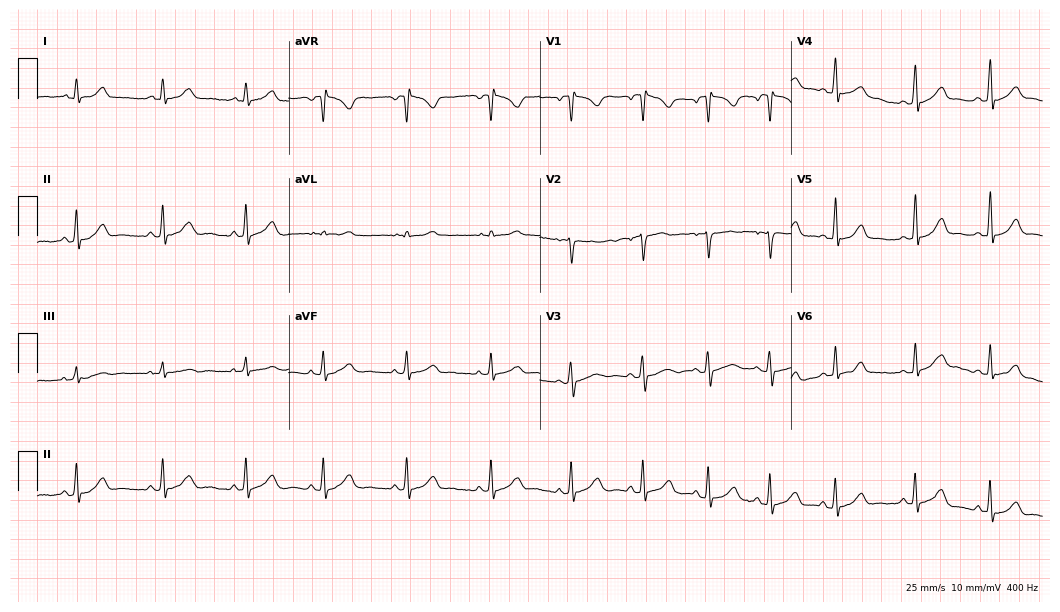
Resting 12-lead electrocardiogram. Patient: a female, 24 years old. Read as a normal ECG.